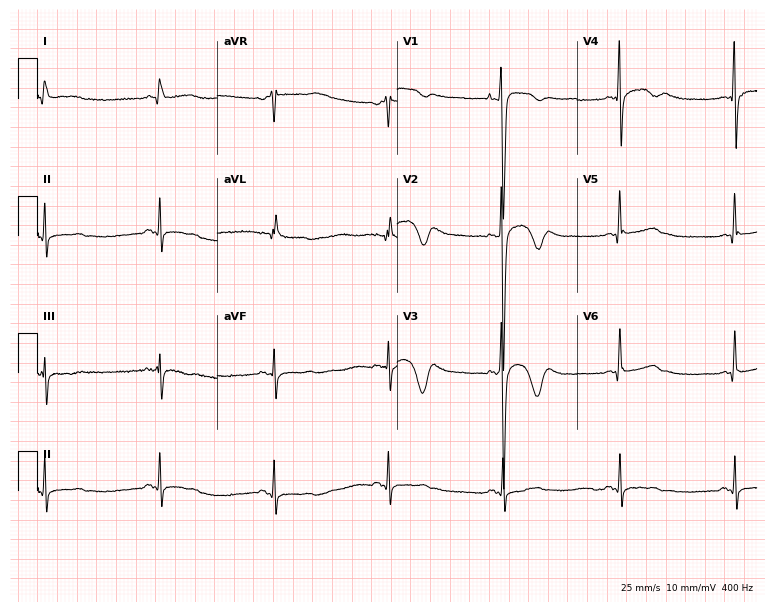
Standard 12-lead ECG recorded from a 29-year-old man. None of these six findings is recorded: first-degree AV block, right bundle branch block (RBBB), left bundle branch block (LBBB), sinus bradycardia, atrial fibrillation (AF), sinus tachycardia. Findings outside these six are not listed.